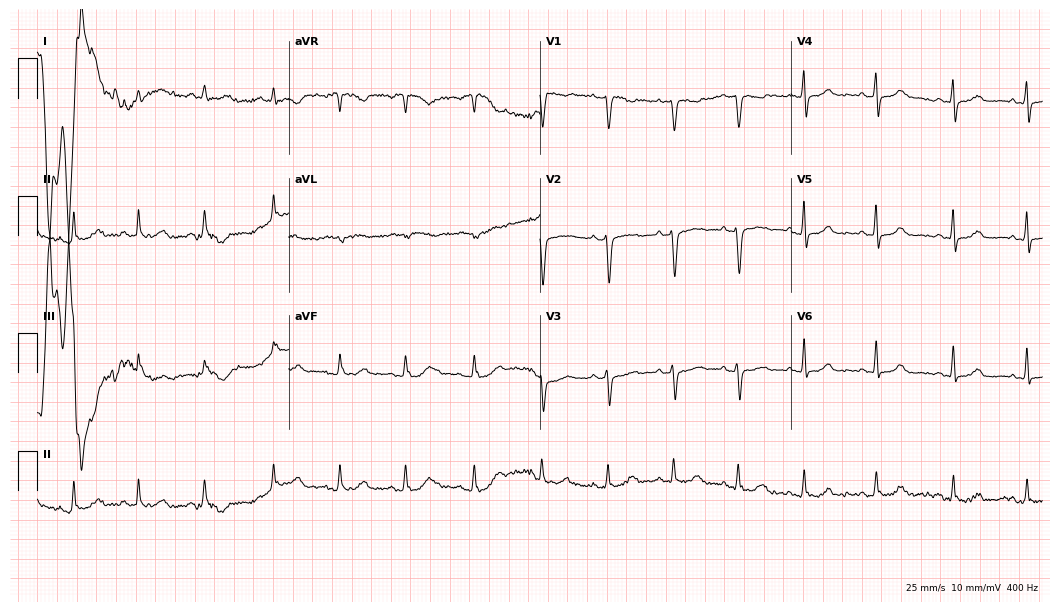
12-lead ECG from a 30-year-old female. Recorded interpretation: within normal limits.